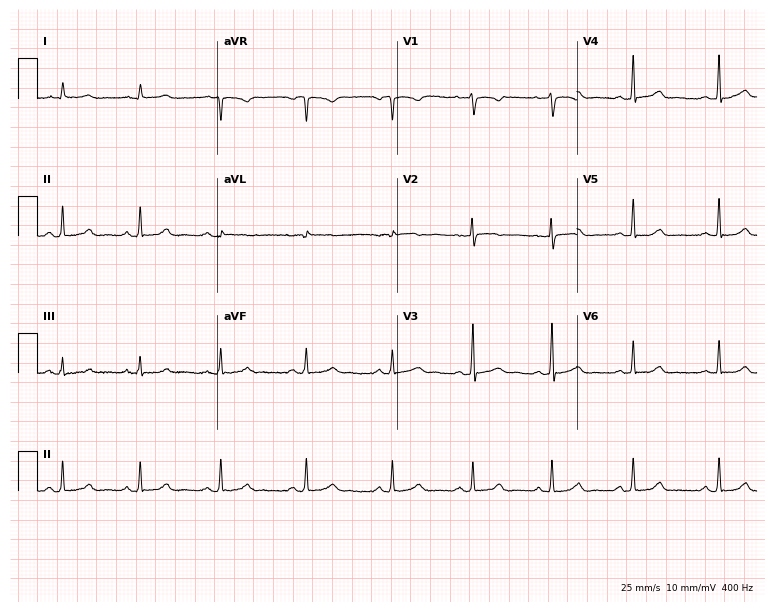
12-lead ECG from a woman, 25 years old. Recorded interpretation: within normal limits.